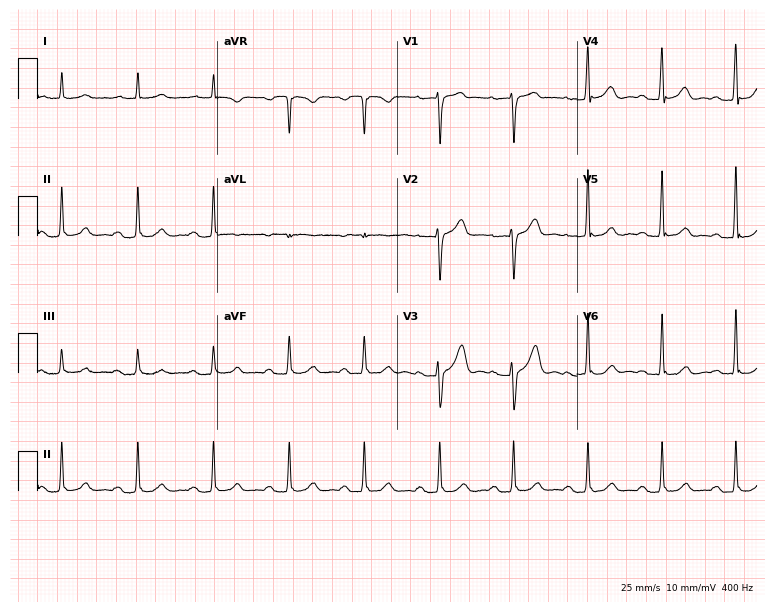
ECG — a male patient, 70 years old. Labelled as a normal ECG.